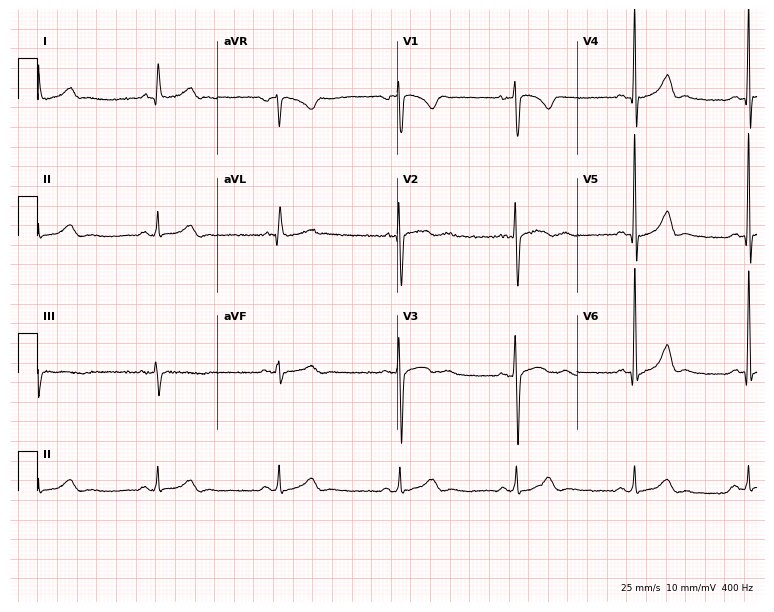
12-lead ECG from a male, 38 years old. Shows sinus bradycardia (a sinus rate of 50 beats per minute or less).